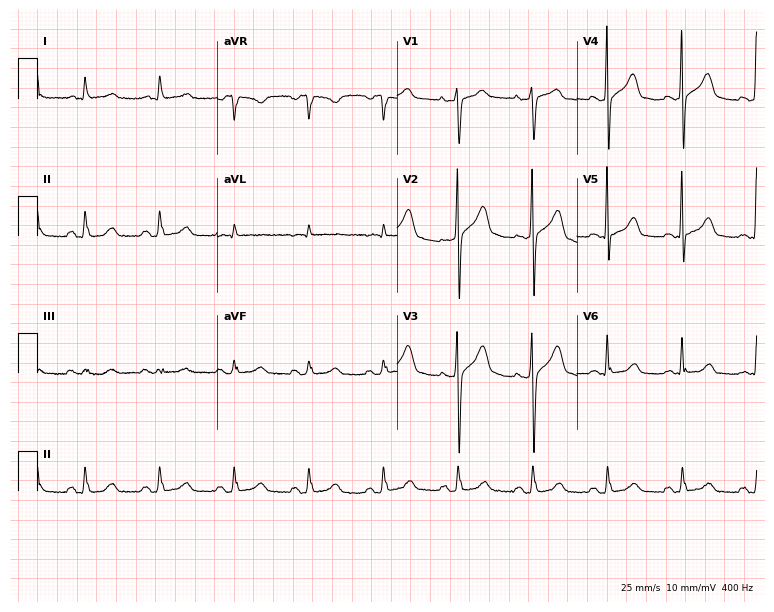
12-lead ECG from a male patient, 81 years old (7.3-second recording at 400 Hz). Recorded interpretation: within normal limits.